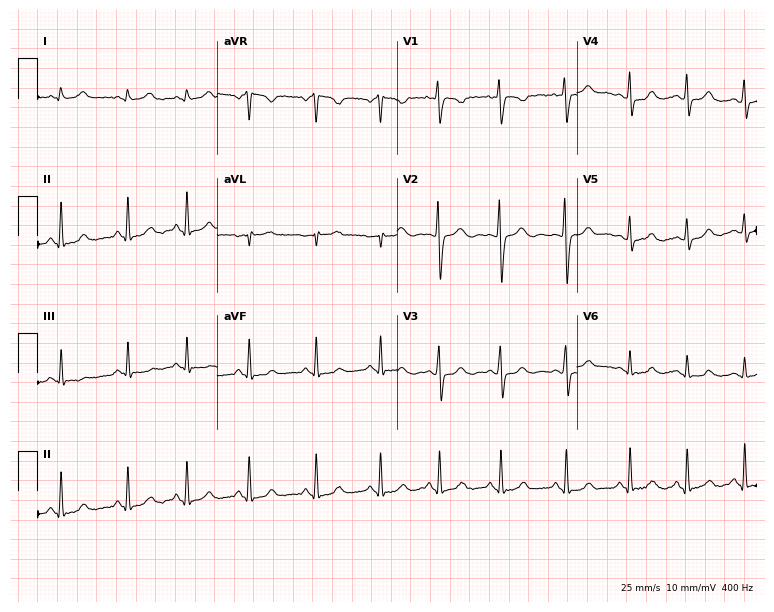
12-lead ECG from a female, 18 years old. No first-degree AV block, right bundle branch block (RBBB), left bundle branch block (LBBB), sinus bradycardia, atrial fibrillation (AF) or sinus tachycardia recorded for this tracing.